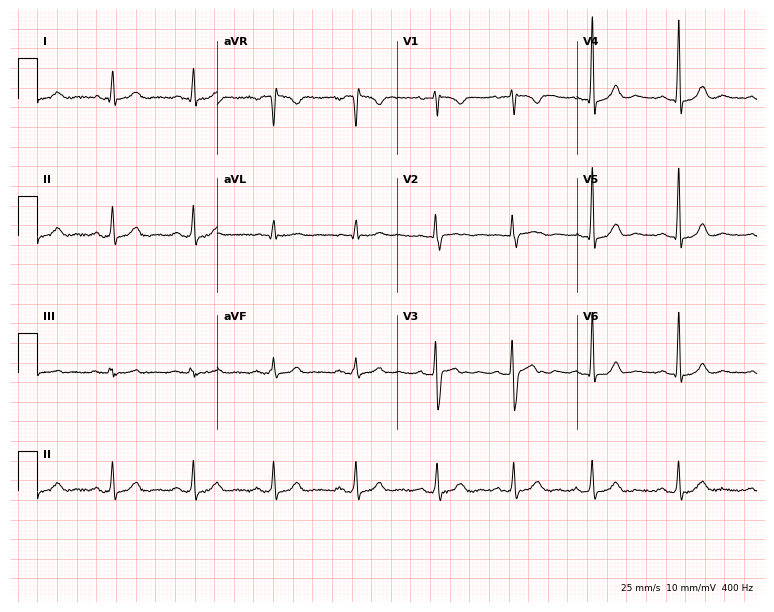
Resting 12-lead electrocardiogram (7.3-second recording at 400 Hz). Patient: a 30-year-old female. Read as a normal ECG.